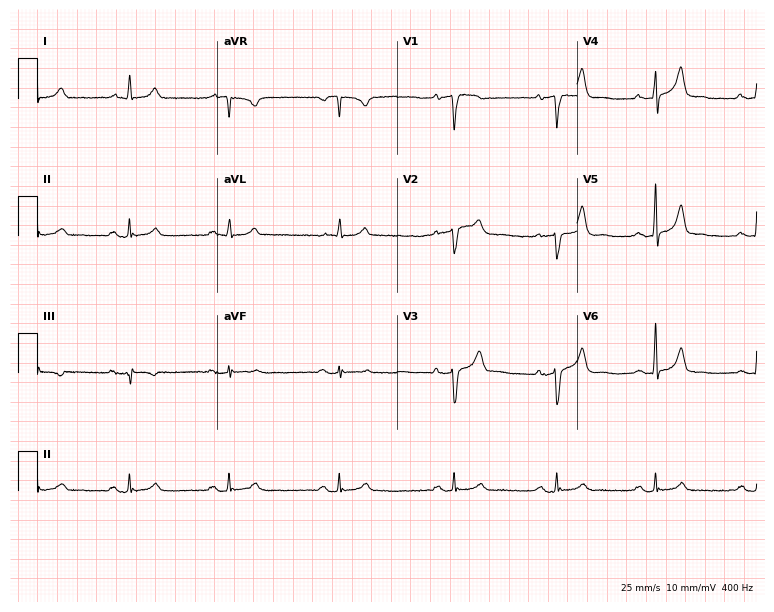
ECG — a 58-year-old male. Screened for six findings — first-degree AV block, right bundle branch block, left bundle branch block, sinus bradycardia, atrial fibrillation, sinus tachycardia — none is recorded.